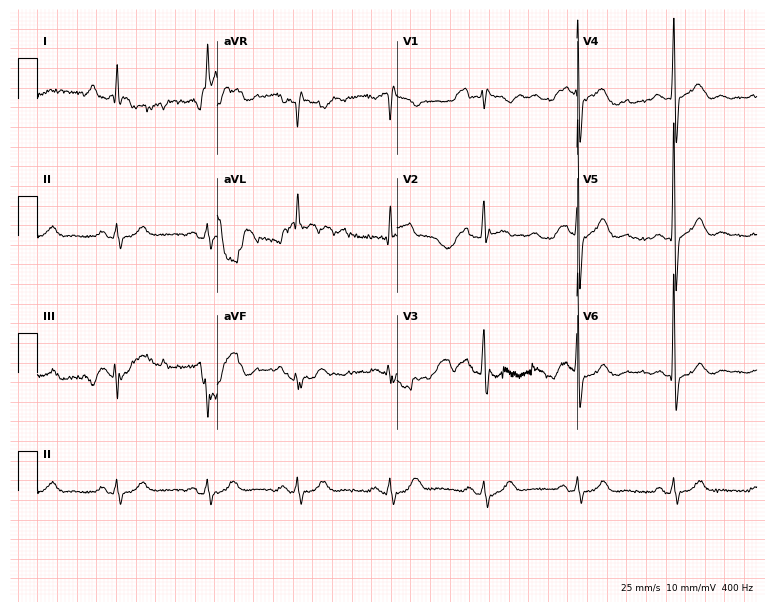
Standard 12-lead ECG recorded from a male patient, 63 years old (7.3-second recording at 400 Hz). Read as a normal ECG.